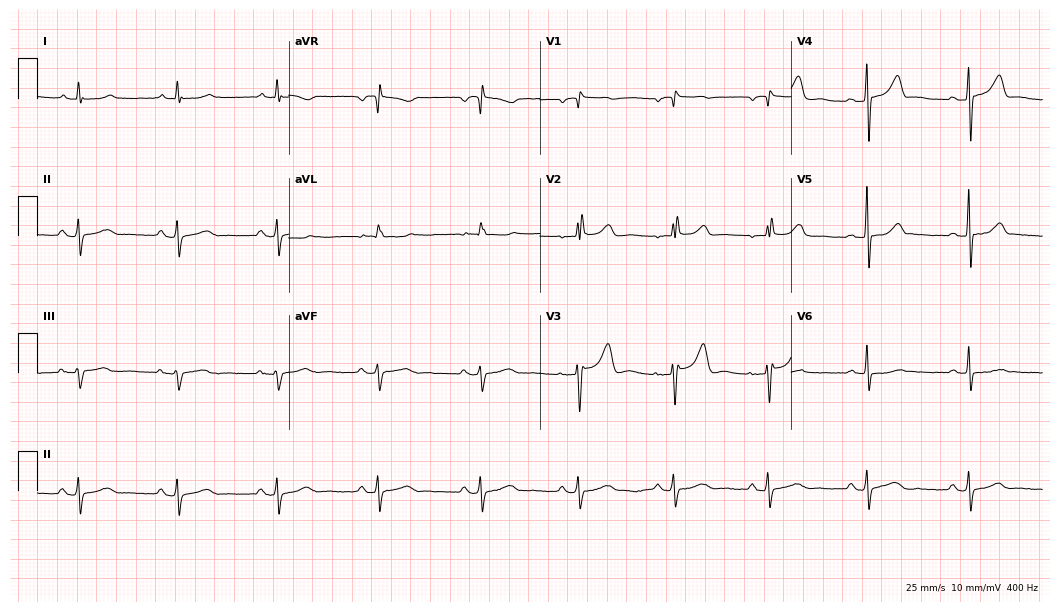
Resting 12-lead electrocardiogram. Patient: a 48-year-old woman. None of these six findings is recorded: first-degree AV block, right bundle branch block, left bundle branch block, sinus bradycardia, atrial fibrillation, sinus tachycardia. Only these six findings were labelled.